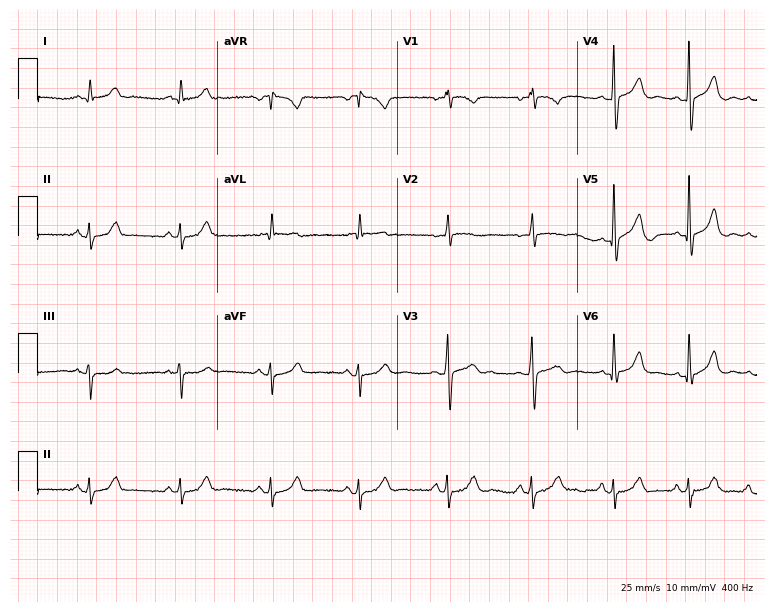
12-lead ECG from a 64-year-old male patient. Labelled as a normal ECG.